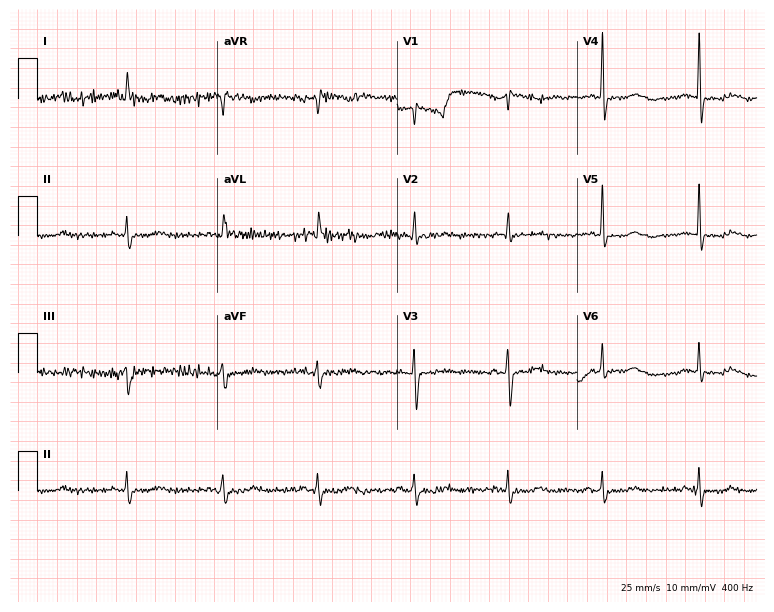
12-lead ECG (7.3-second recording at 400 Hz) from a female, 81 years old. Screened for six findings — first-degree AV block, right bundle branch block, left bundle branch block, sinus bradycardia, atrial fibrillation, sinus tachycardia — none is recorded. Findings outside these six are not listed.